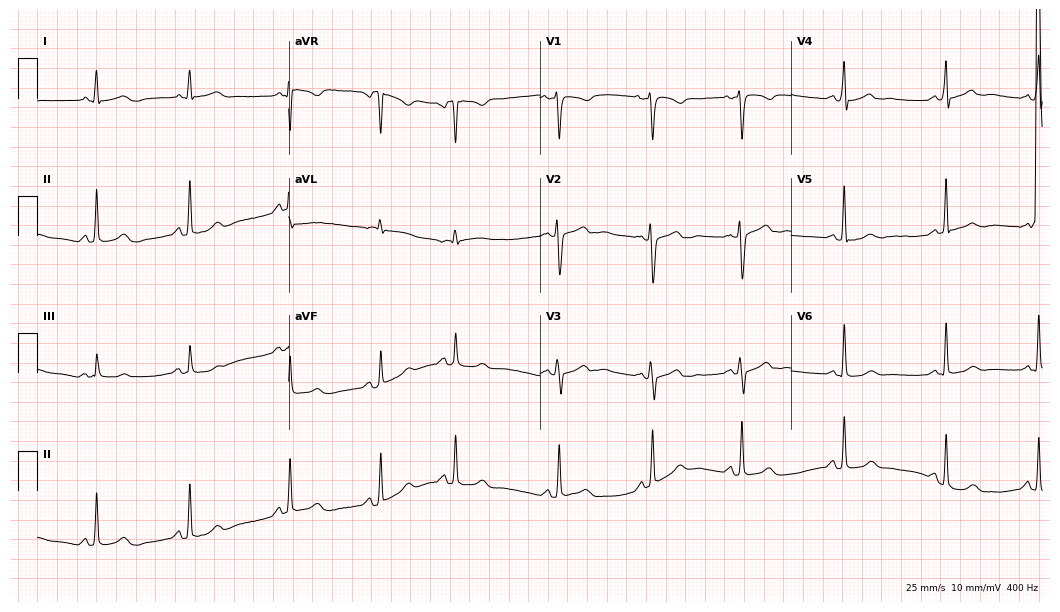
12-lead ECG (10.2-second recording at 400 Hz) from a 28-year-old female patient. Labelled as a normal ECG.